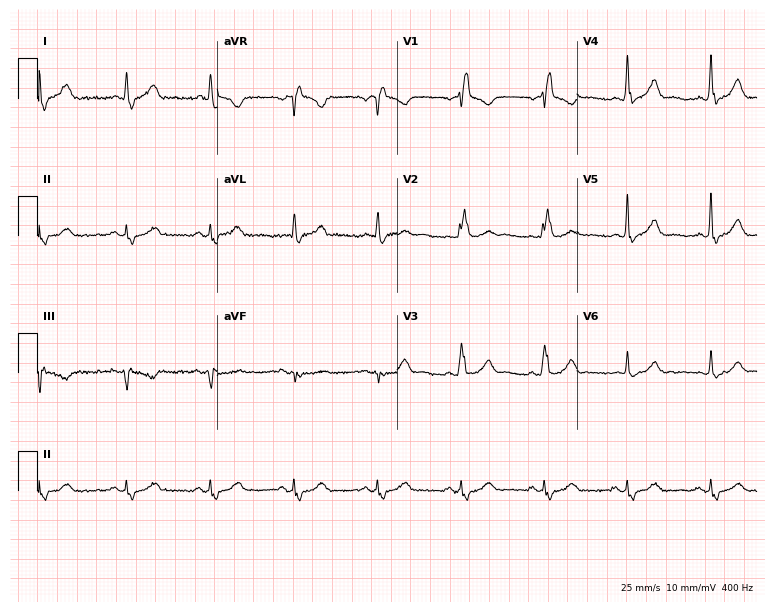
Resting 12-lead electrocardiogram. Patient: a 59-year-old male. The tracing shows right bundle branch block.